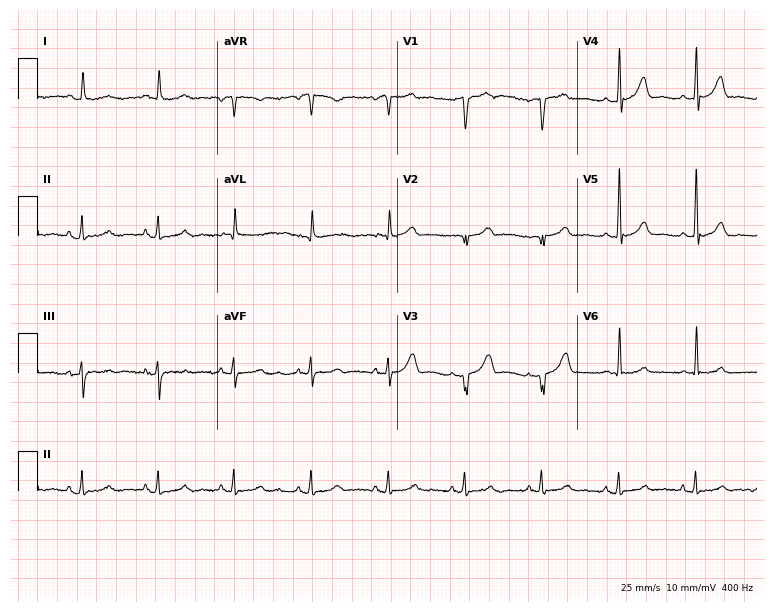
Electrocardiogram, a 77-year-old male. Of the six screened findings (first-degree AV block, right bundle branch block (RBBB), left bundle branch block (LBBB), sinus bradycardia, atrial fibrillation (AF), sinus tachycardia), none is recorded.